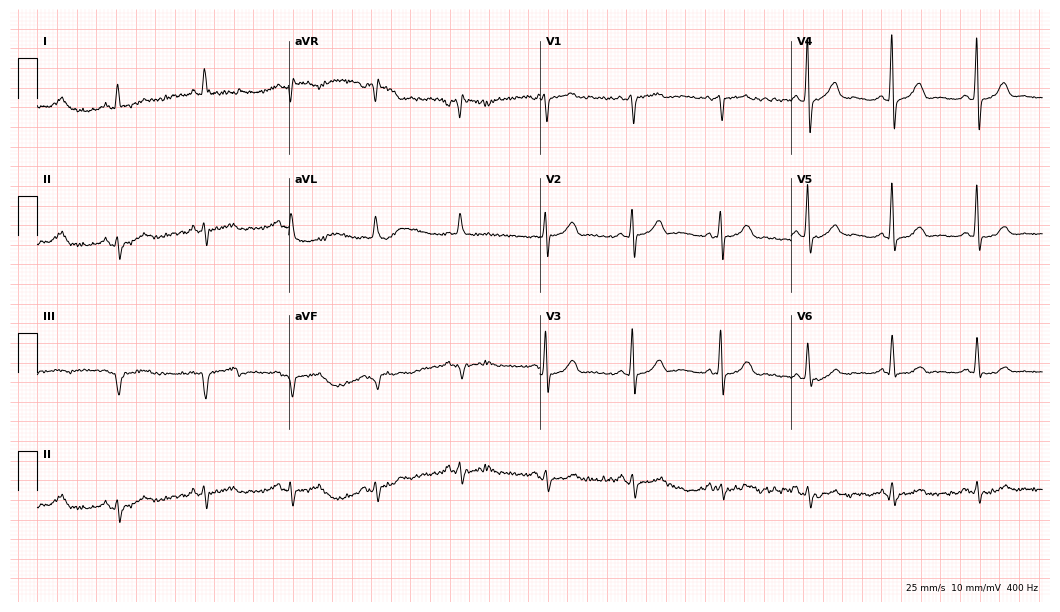
Standard 12-lead ECG recorded from a 66-year-old man. Read as a normal ECG.